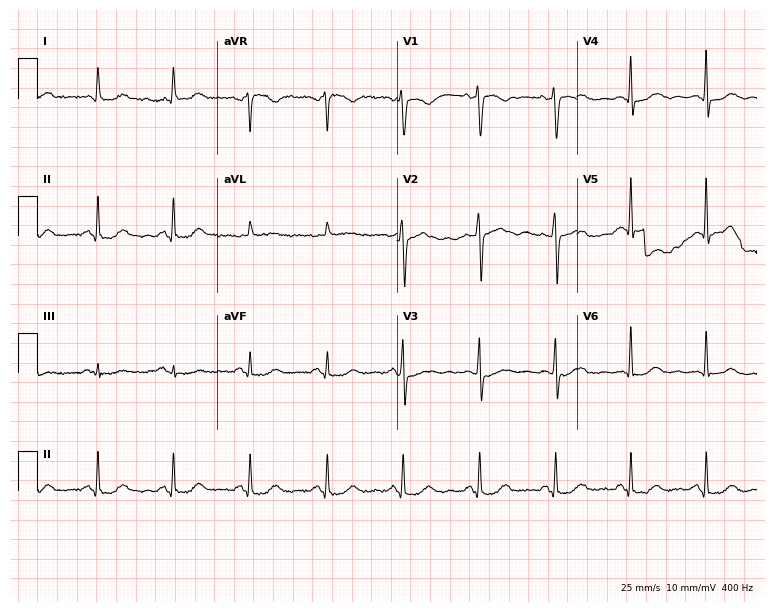
12-lead ECG from a female patient, 52 years old. Labelled as a normal ECG.